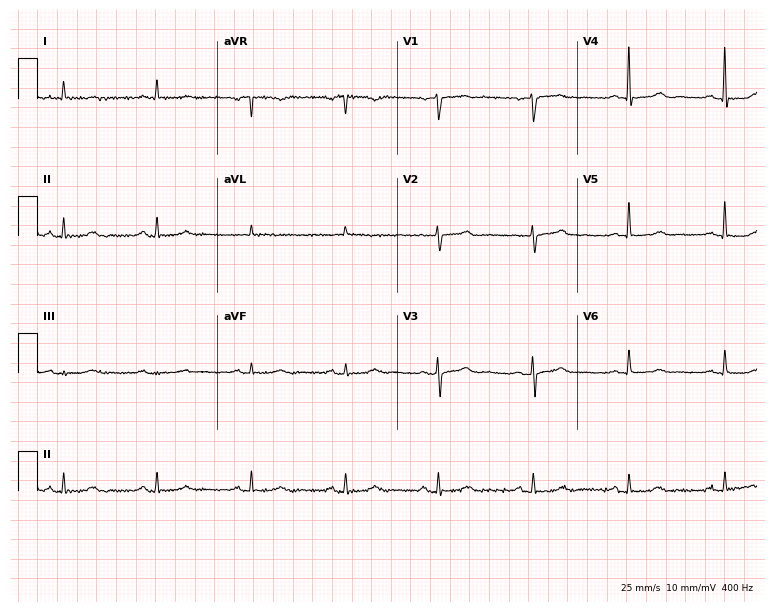
Standard 12-lead ECG recorded from an 84-year-old female patient (7.3-second recording at 400 Hz). None of these six findings is recorded: first-degree AV block, right bundle branch block, left bundle branch block, sinus bradycardia, atrial fibrillation, sinus tachycardia. Findings outside these six are not listed.